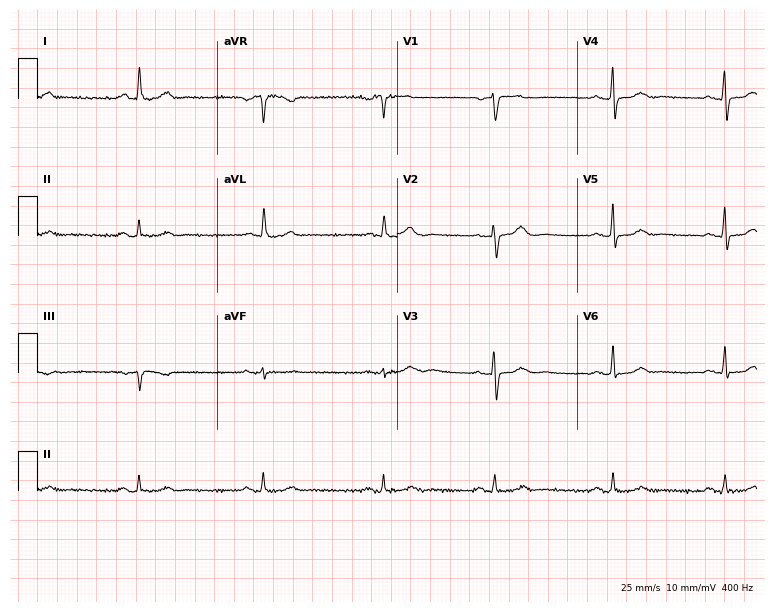
ECG — a female patient, 52 years old. Labelled as a normal ECG.